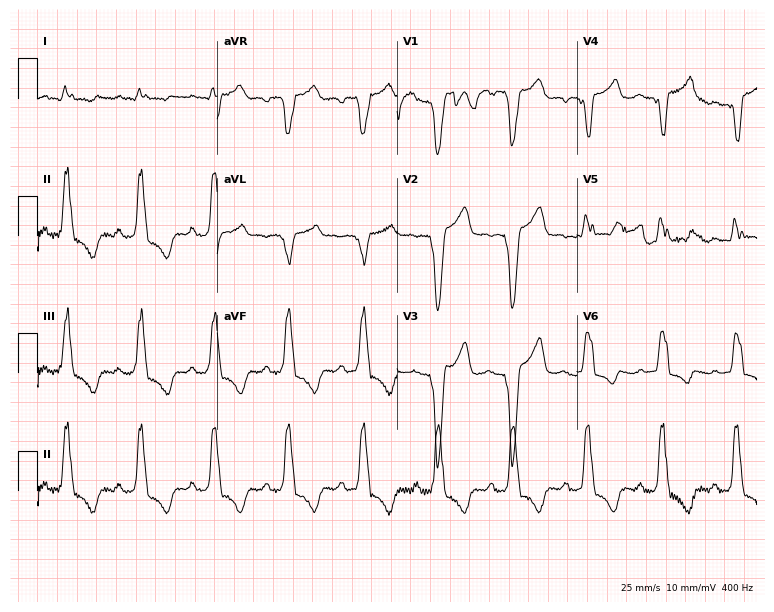
12-lead ECG from a female patient, 57 years old (7.3-second recording at 400 Hz). No first-degree AV block, right bundle branch block, left bundle branch block, sinus bradycardia, atrial fibrillation or sinus tachycardia recorded for this tracing.